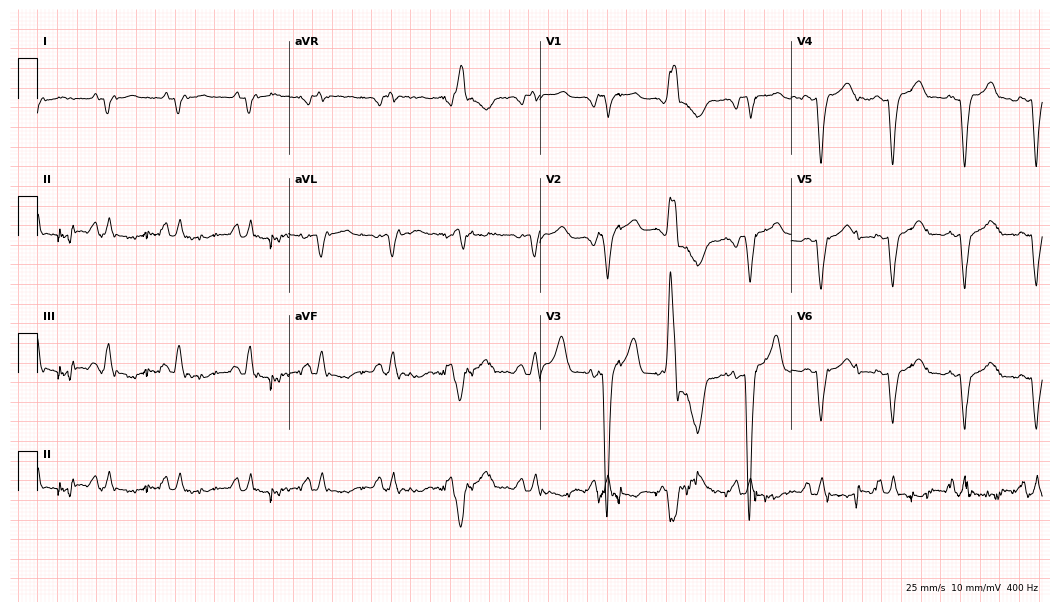
Standard 12-lead ECG recorded from a 60-year-old male (10.2-second recording at 400 Hz). None of these six findings is recorded: first-degree AV block, right bundle branch block (RBBB), left bundle branch block (LBBB), sinus bradycardia, atrial fibrillation (AF), sinus tachycardia. Findings outside these six are not listed.